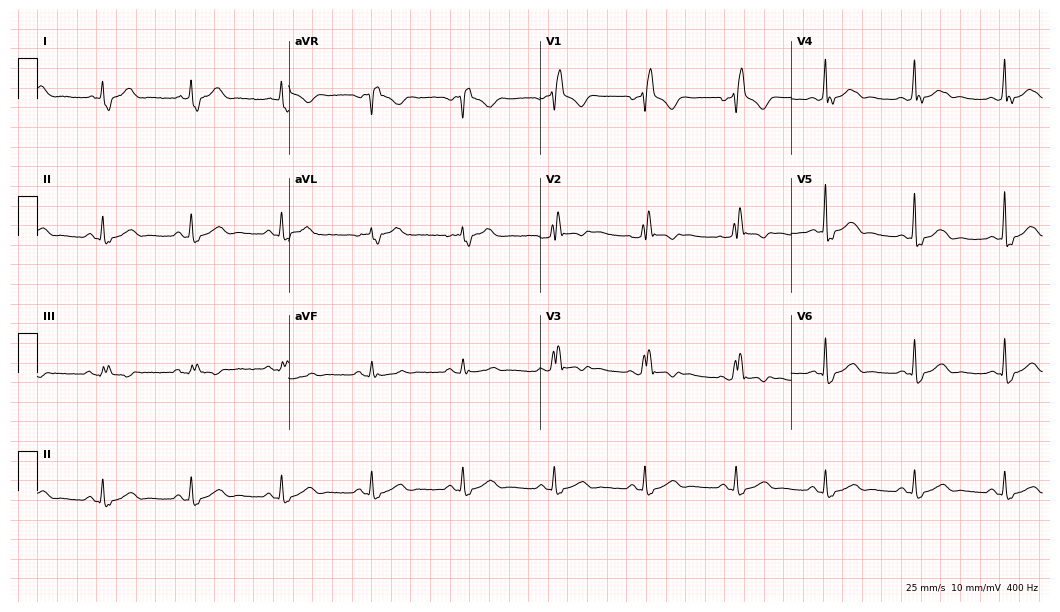
Electrocardiogram, a 55-year-old male. Of the six screened findings (first-degree AV block, right bundle branch block, left bundle branch block, sinus bradycardia, atrial fibrillation, sinus tachycardia), none is recorded.